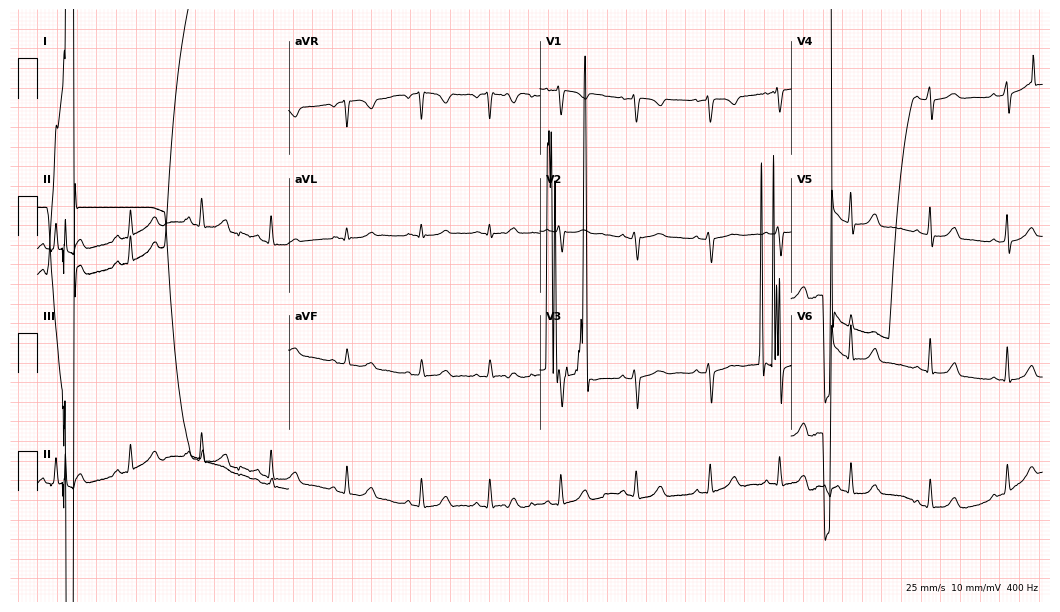
Electrocardiogram, a woman, 20 years old. Of the six screened findings (first-degree AV block, right bundle branch block (RBBB), left bundle branch block (LBBB), sinus bradycardia, atrial fibrillation (AF), sinus tachycardia), none is recorded. Only these six findings were labelled.